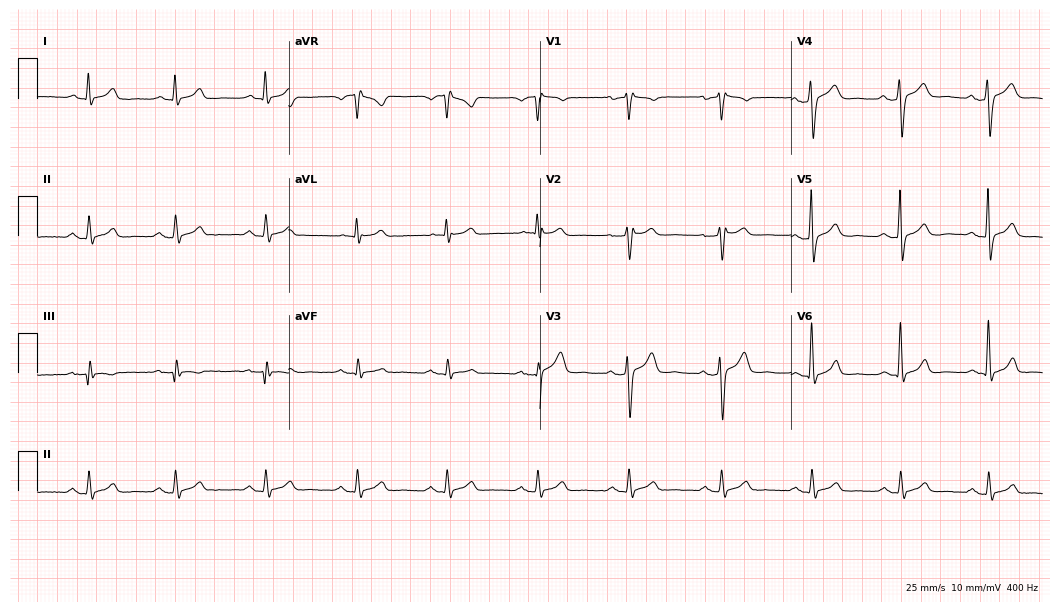
Electrocardiogram, a 45-year-old man. Of the six screened findings (first-degree AV block, right bundle branch block (RBBB), left bundle branch block (LBBB), sinus bradycardia, atrial fibrillation (AF), sinus tachycardia), none is recorded.